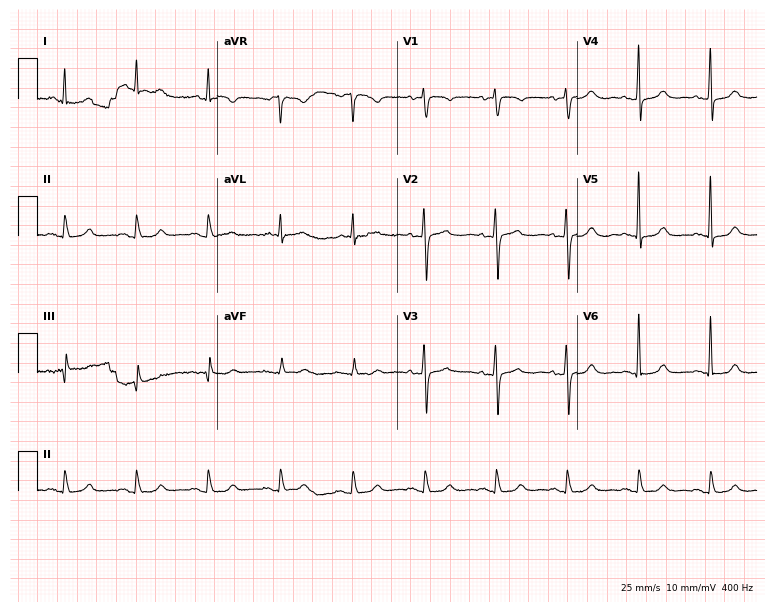
Resting 12-lead electrocardiogram. Patient: a female, 75 years old. Read as a normal ECG.